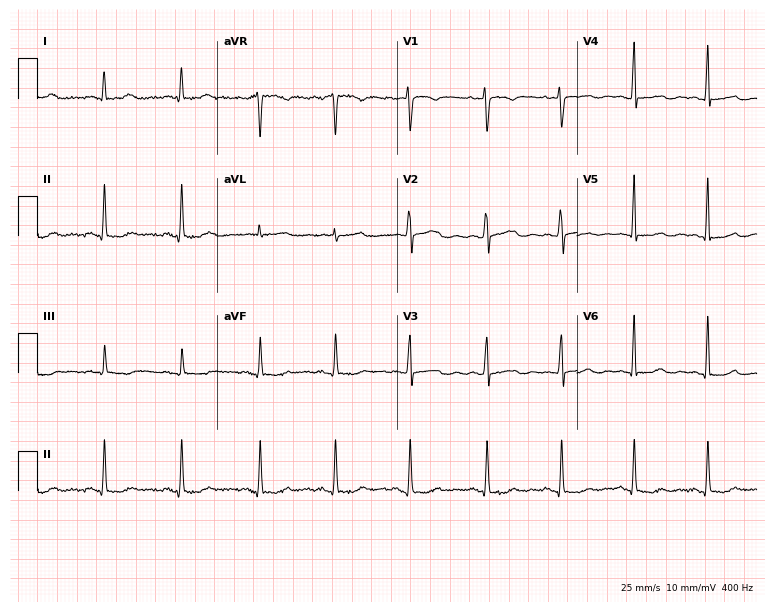
12-lead ECG from a woman, 43 years old. No first-degree AV block, right bundle branch block (RBBB), left bundle branch block (LBBB), sinus bradycardia, atrial fibrillation (AF) or sinus tachycardia recorded for this tracing.